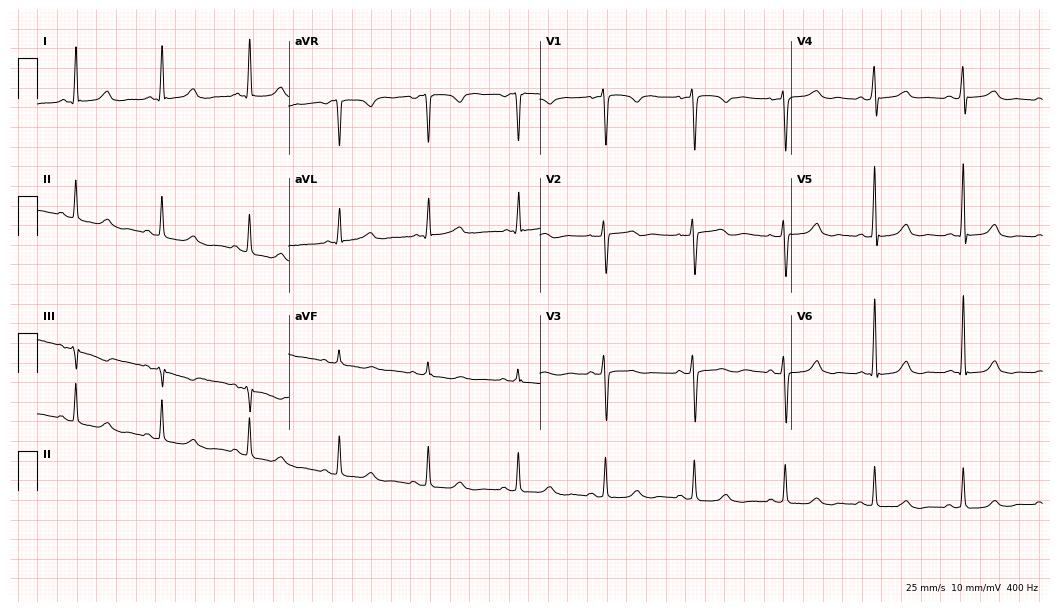
12-lead ECG from a female patient, 53 years old (10.2-second recording at 400 Hz). No first-degree AV block, right bundle branch block, left bundle branch block, sinus bradycardia, atrial fibrillation or sinus tachycardia recorded for this tracing.